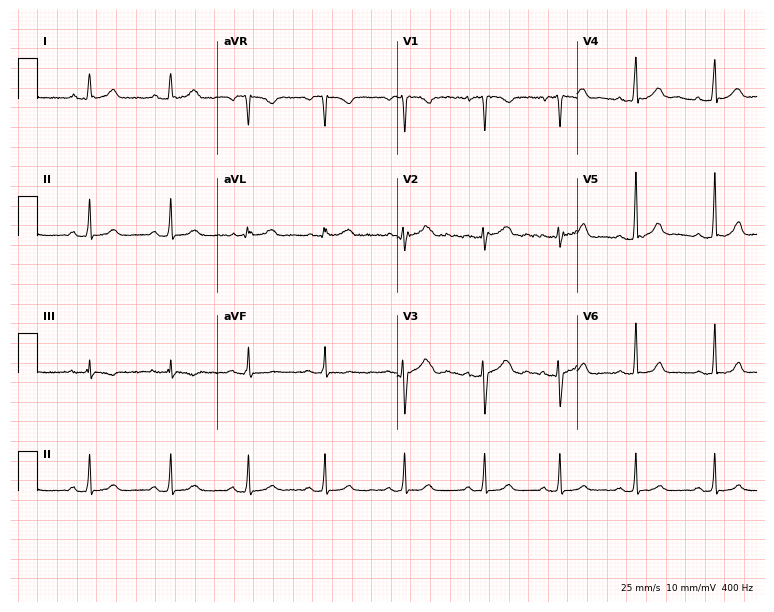
Standard 12-lead ECG recorded from a woman, 19 years old. Read as a normal ECG.